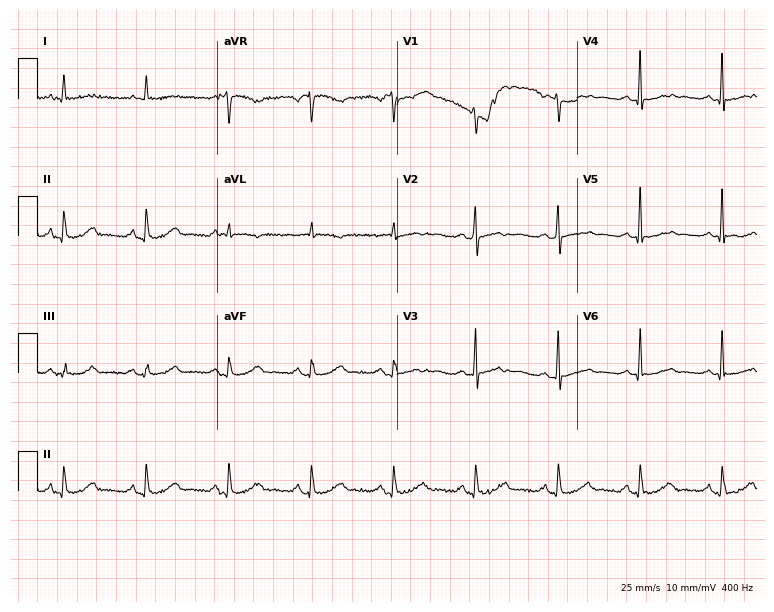
Resting 12-lead electrocardiogram. Patient: a female, 67 years old. Read as a normal ECG.